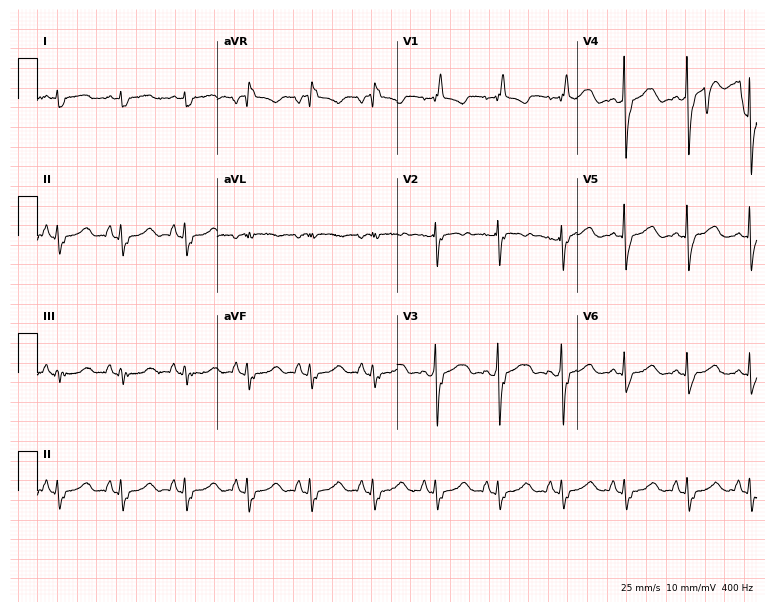
12-lead ECG from a male, 59 years old. No first-degree AV block, right bundle branch block, left bundle branch block, sinus bradycardia, atrial fibrillation or sinus tachycardia recorded for this tracing. Only these six findings were labelled.